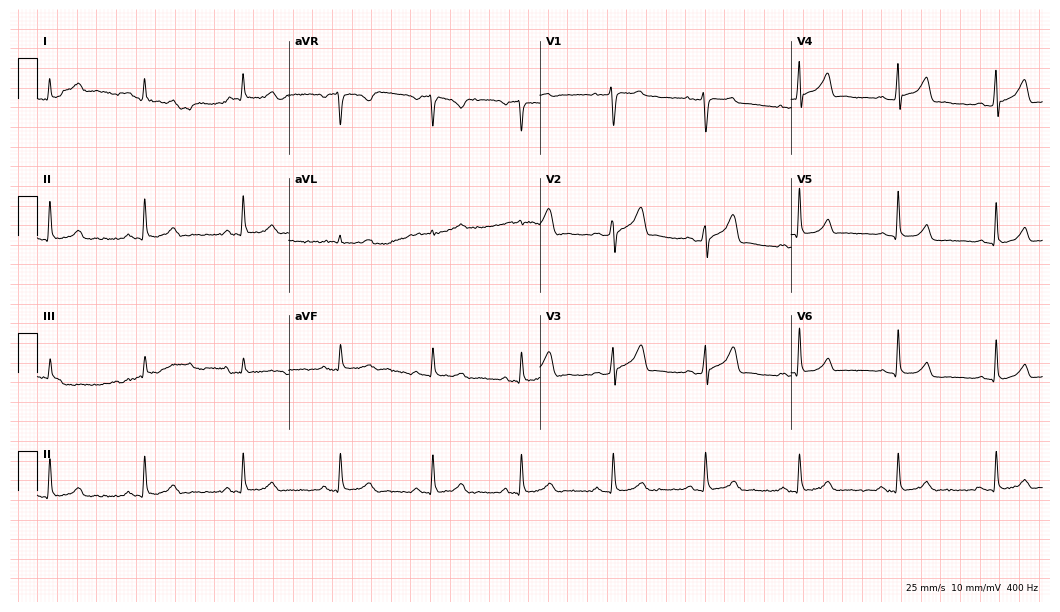
12-lead ECG from a 37-year-old male patient. Recorded interpretation: within normal limits.